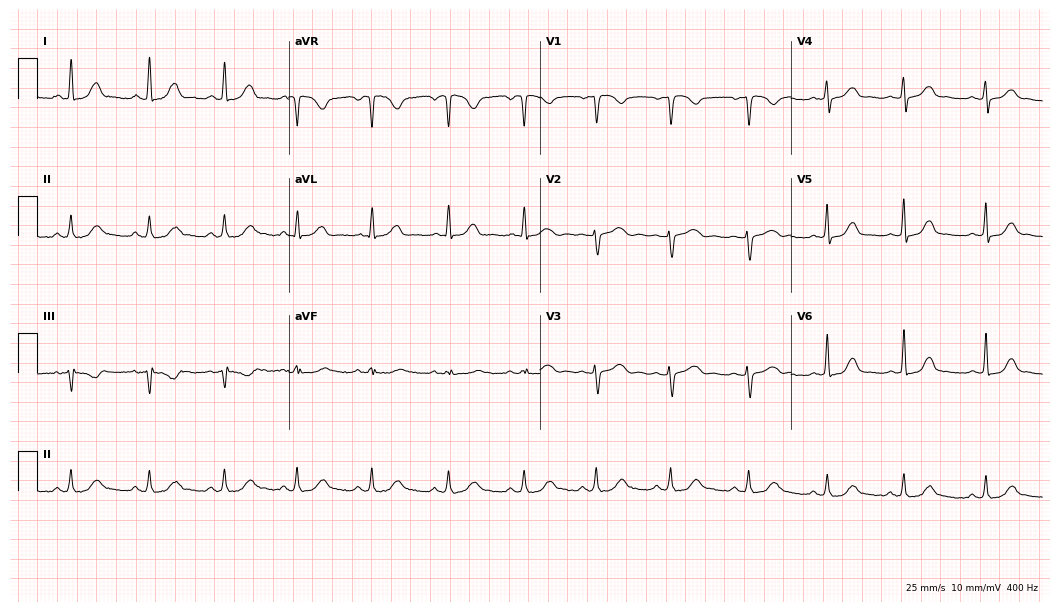
Resting 12-lead electrocardiogram (10.2-second recording at 400 Hz). Patient: a female, 38 years old. Read as a normal ECG.